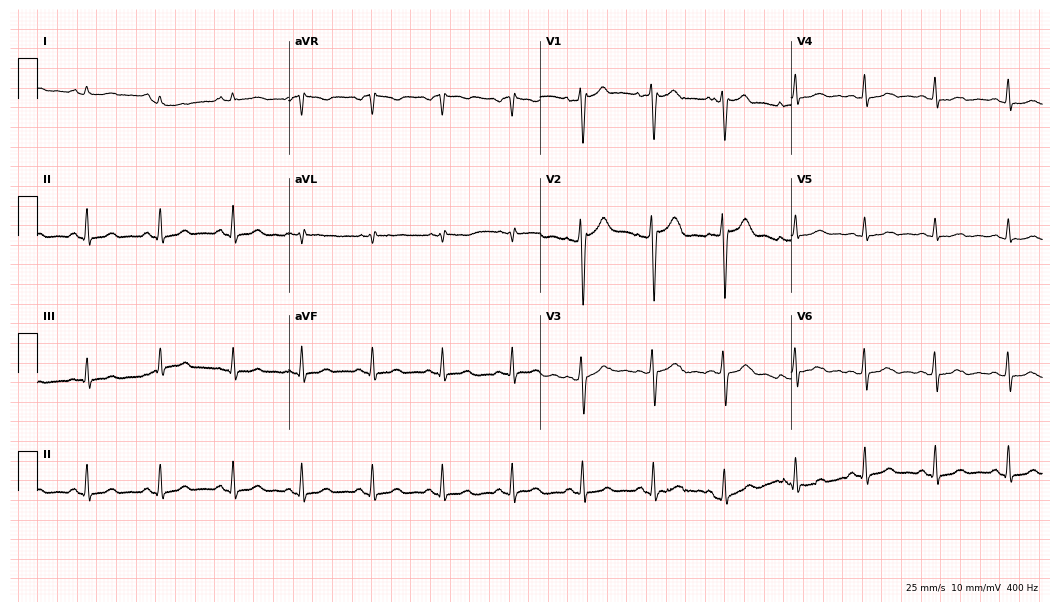
12-lead ECG from a woman, 30 years old. Screened for six findings — first-degree AV block, right bundle branch block, left bundle branch block, sinus bradycardia, atrial fibrillation, sinus tachycardia — none is recorded.